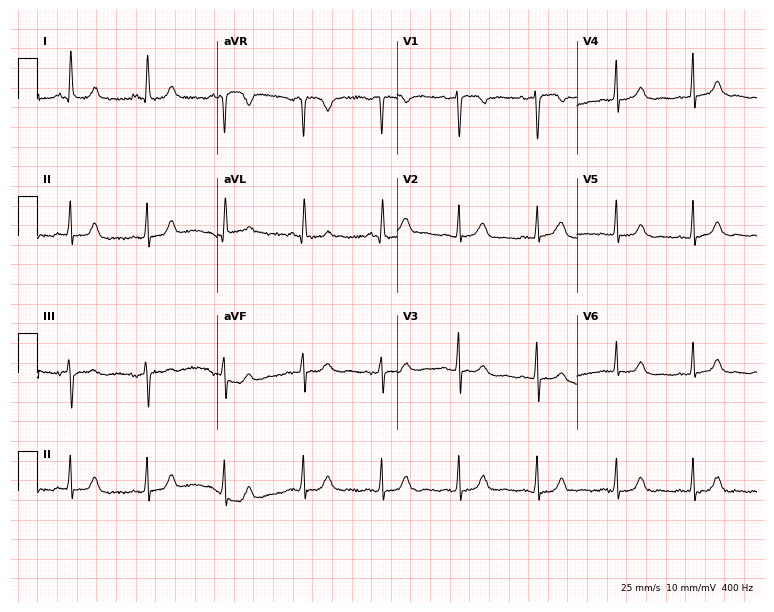
Resting 12-lead electrocardiogram (7.3-second recording at 400 Hz). Patient: a 61-year-old female. None of these six findings is recorded: first-degree AV block, right bundle branch block, left bundle branch block, sinus bradycardia, atrial fibrillation, sinus tachycardia. Only these six findings were labelled.